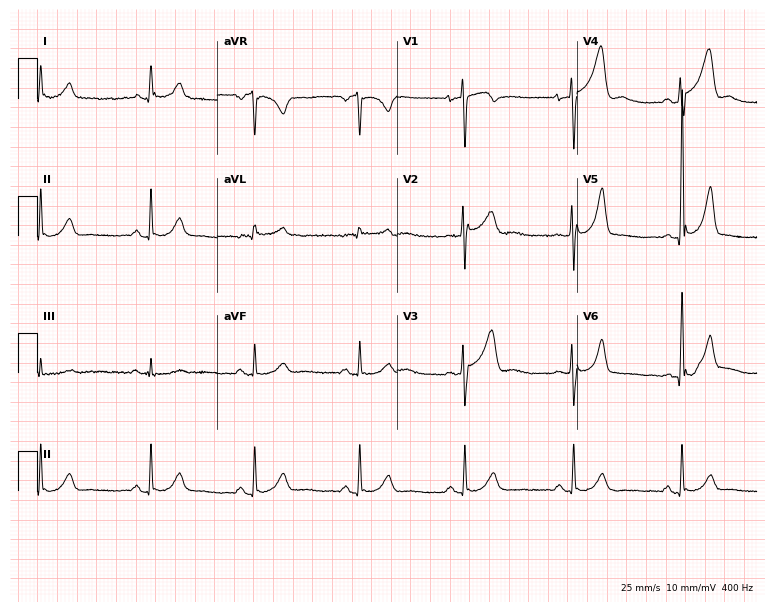
12-lead ECG (7.3-second recording at 400 Hz) from a male, 49 years old. Labelled as a normal ECG.